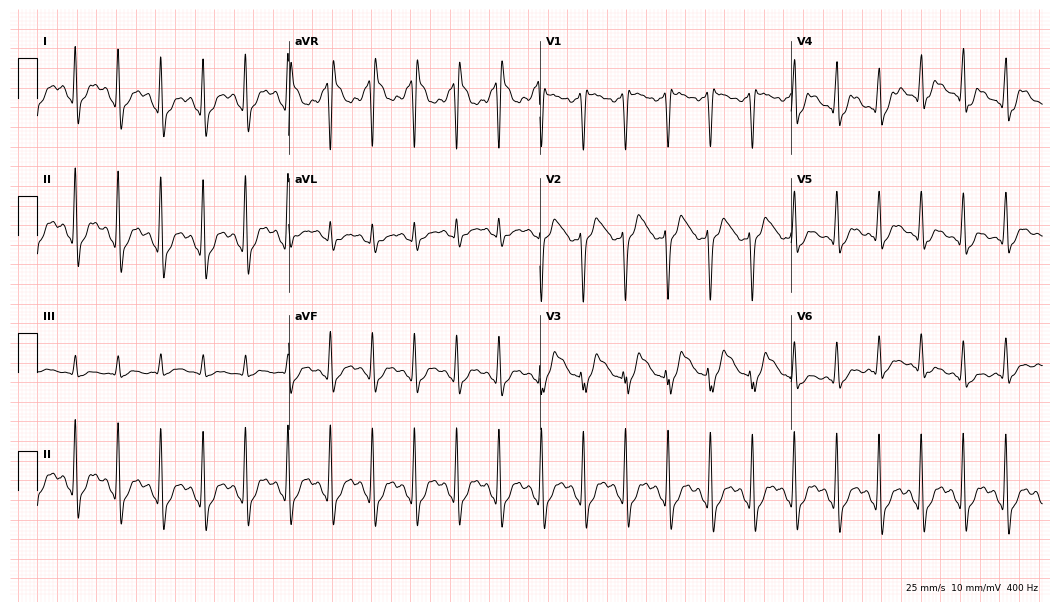
Resting 12-lead electrocardiogram. Patient: a 28-year-old female. The tracing shows sinus tachycardia (a sinus rate of 100 beats per minute or more).